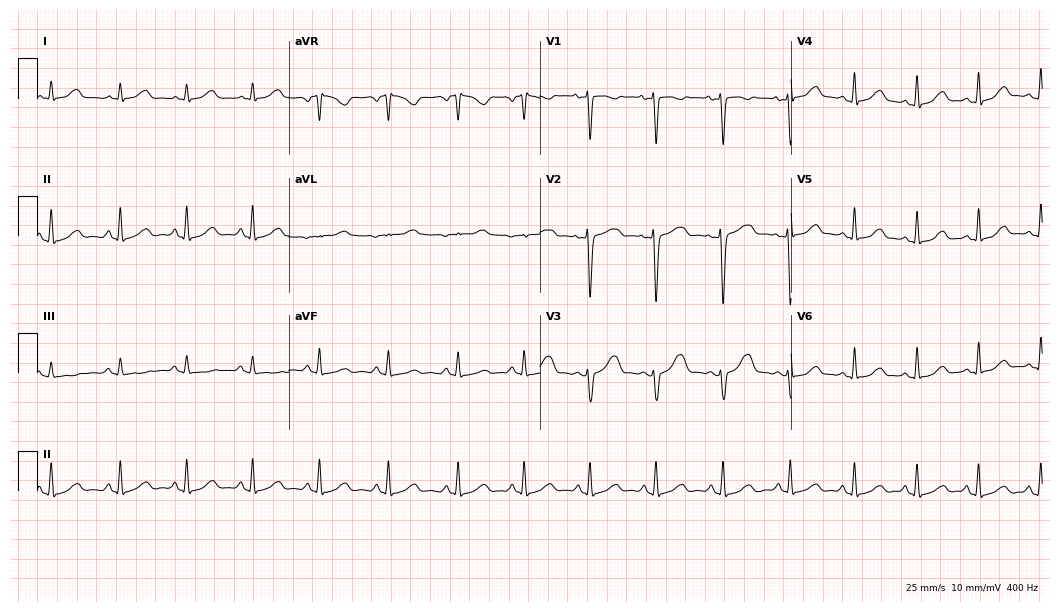
12-lead ECG (10.2-second recording at 400 Hz) from a woman, 29 years old. Screened for six findings — first-degree AV block, right bundle branch block, left bundle branch block, sinus bradycardia, atrial fibrillation, sinus tachycardia — none is recorded. Findings outside these six are not listed.